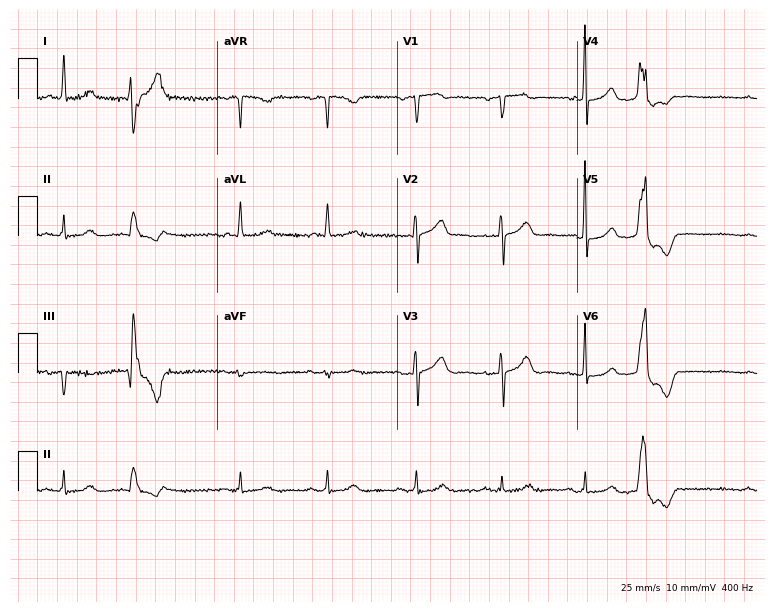
Electrocardiogram (7.3-second recording at 400 Hz), a 68-year-old female. Of the six screened findings (first-degree AV block, right bundle branch block (RBBB), left bundle branch block (LBBB), sinus bradycardia, atrial fibrillation (AF), sinus tachycardia), none is recorded. Only these six findings were labelled.